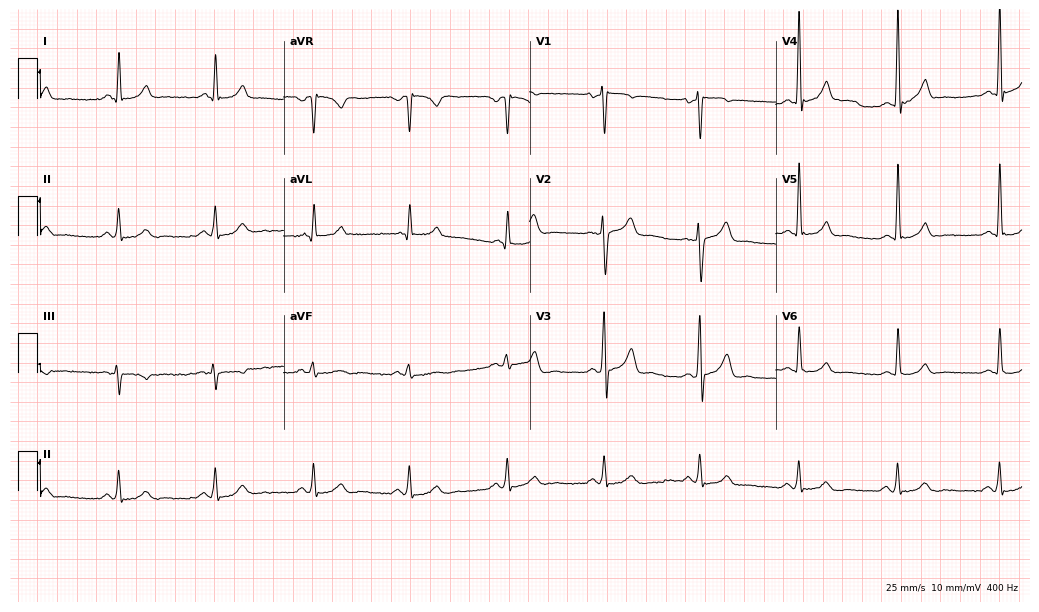
12-lead ECG from a male, 39 years old (10-second recording at 400 Hz). No first-degree AV block, right bundle branch block (RBBB), left bundle branch block (LBBB), sinus bradycardia, atrial fibrillation (AF) or sinus tachycardia recorded for this tracing. Only these six findings were labelled.